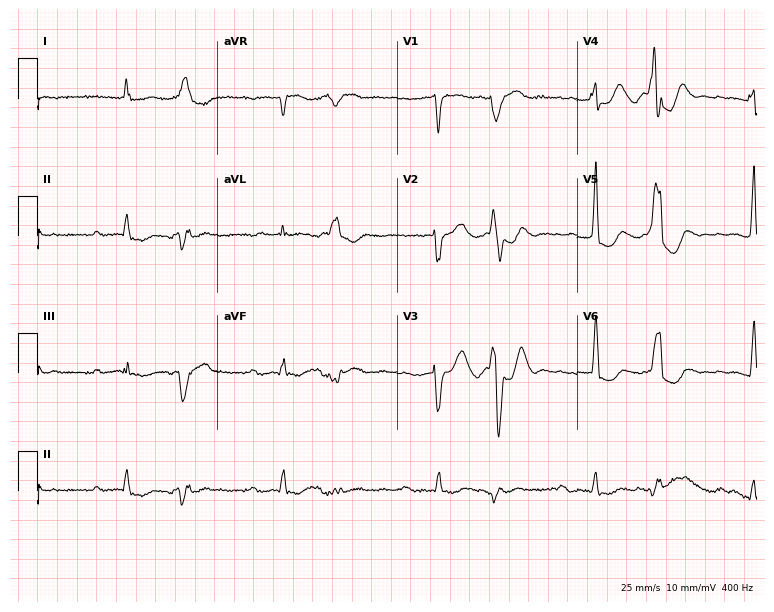
Electrocardiogram (7.3-second recording at 400 Hz), a male, 83 years old. Of the six screened findings (first-degree AV block, right bundle branch block (RBBB), left bundle branch block (LBBB), sinus bradycardia, atrial fibrillation (AF), sinus tachycardia), none is recorded. Findings outside these six are not listed.